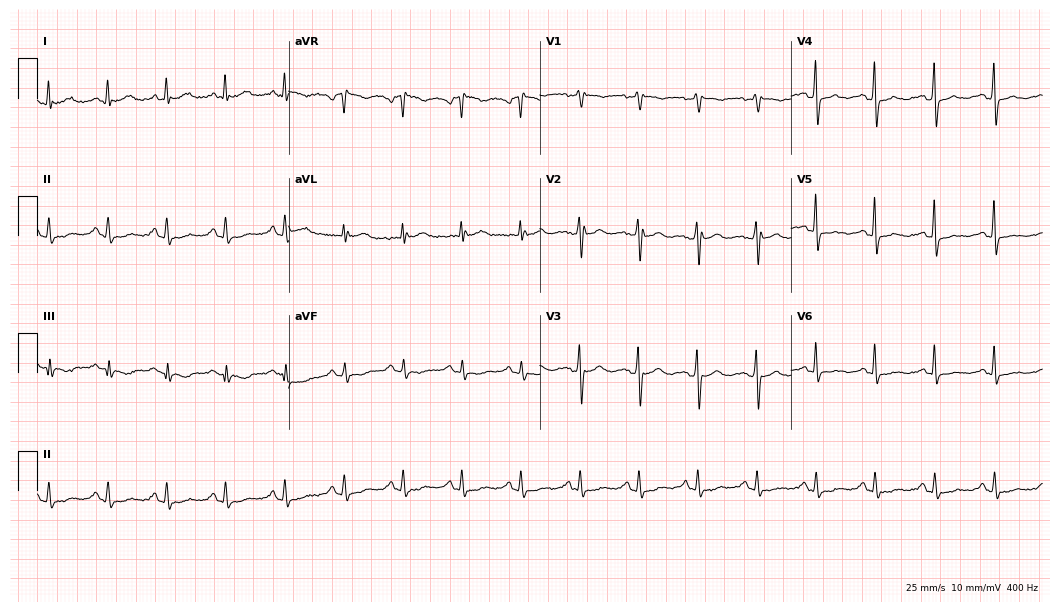
Standard 12-lead ECG recorded from a woman, 61 years old (10.2-second recording at 400 Hz). Read as a normal ECG.